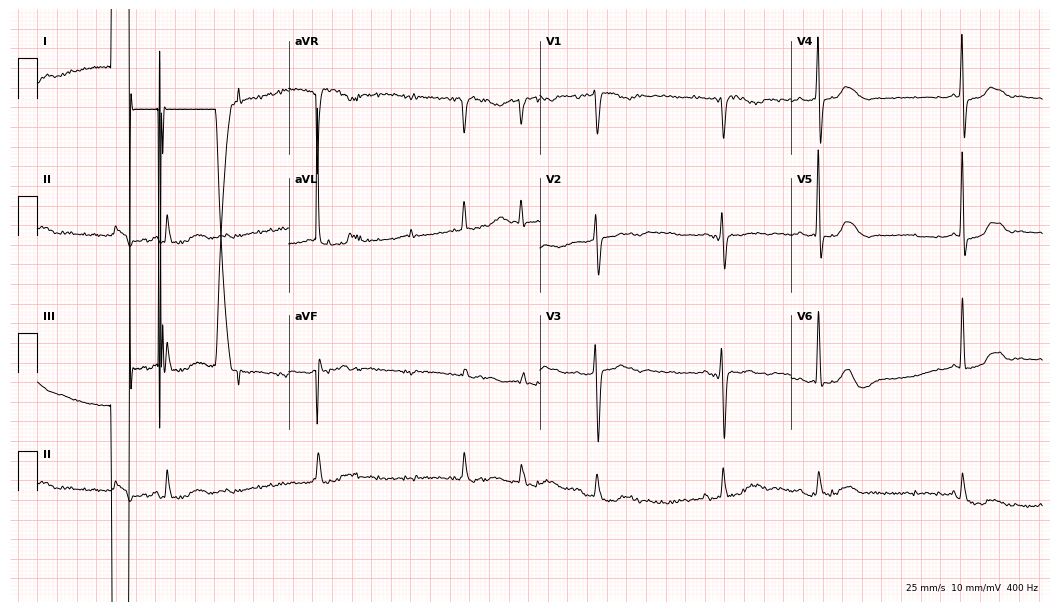
Electrocardiogram (10.2-second recording at 400 Hz), a 78-year-old woman. Of the six screened findings (first-degree AV block, right bundle branch block, left bundle branch block, sinus bradycardia, atrial fibrillation, sinus tachycardia), none is recorded.